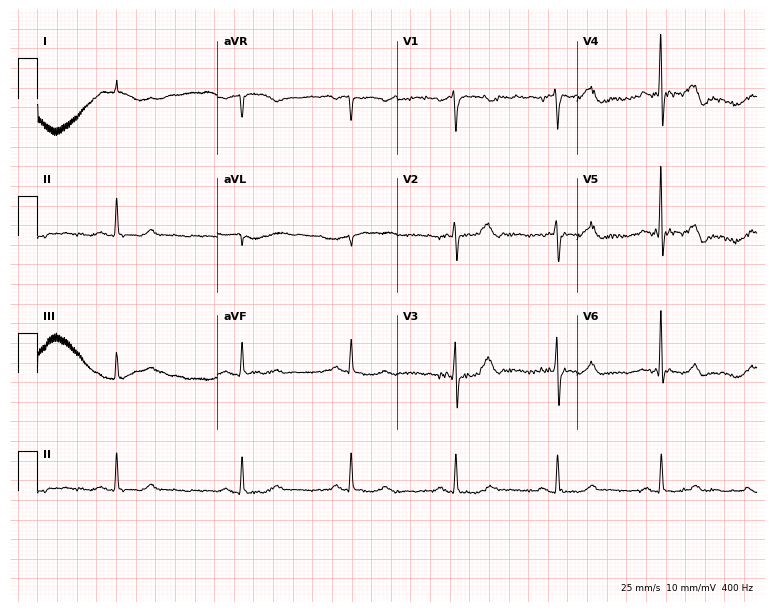
12-lead ECG from a male, 77 years old. Recorded interpretation: within normal limits.